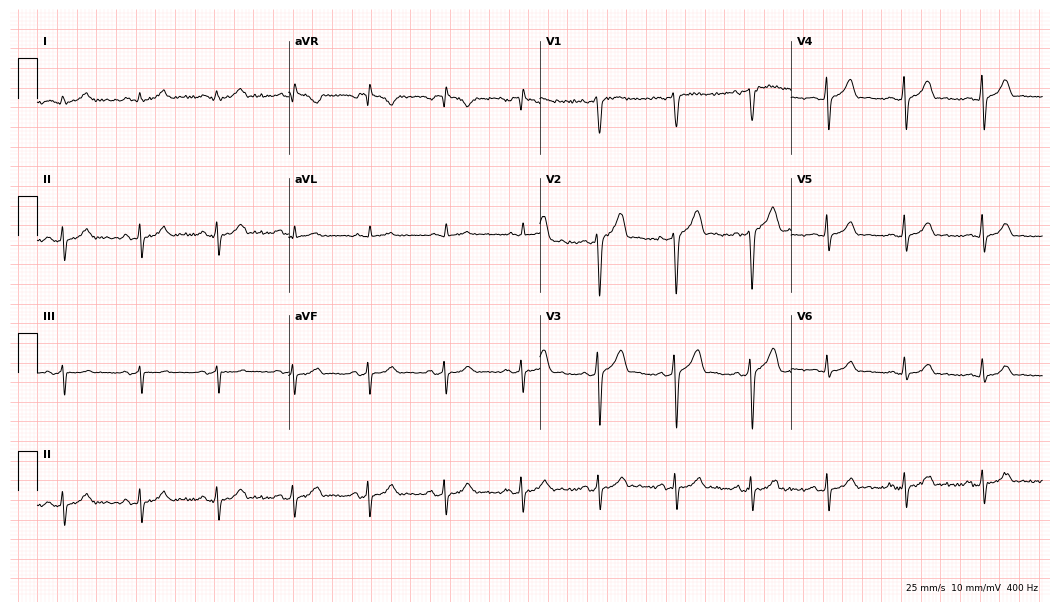
Resting 12-lead electrocardiogram (10.2-second recording at 400 Hz). Patient: a male, 35 years old. None of these six findings is recorded: first-degree AV block, right bundle branch block, left bundle branch block, sinus bradycardia, atrial fibrillation, sinus tachycardia. Only these six findings were labelled.